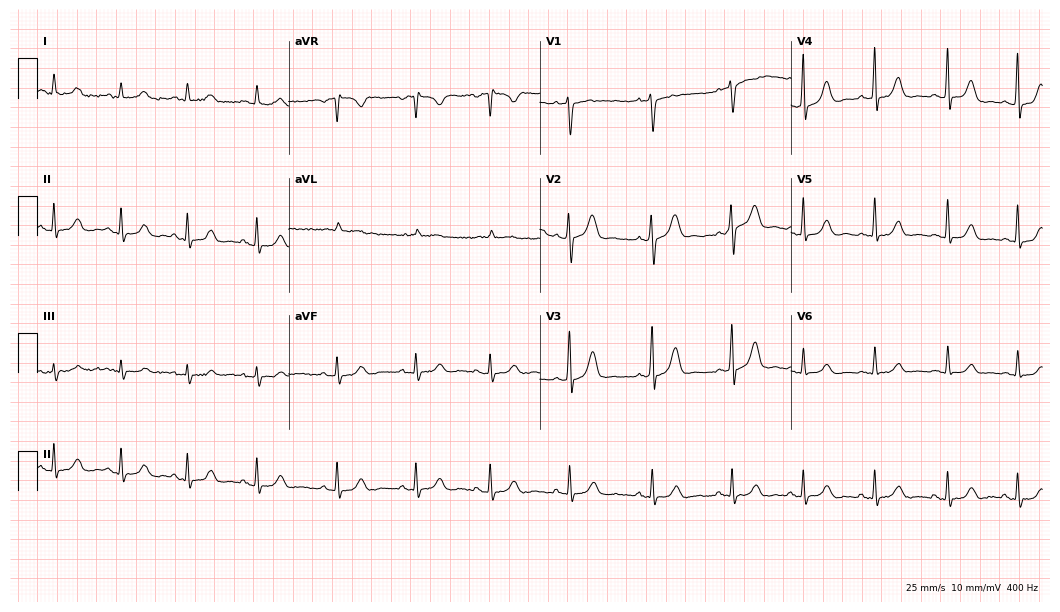
12-lead ECG from a female, 26 years old. Labelled as a normal ECG.